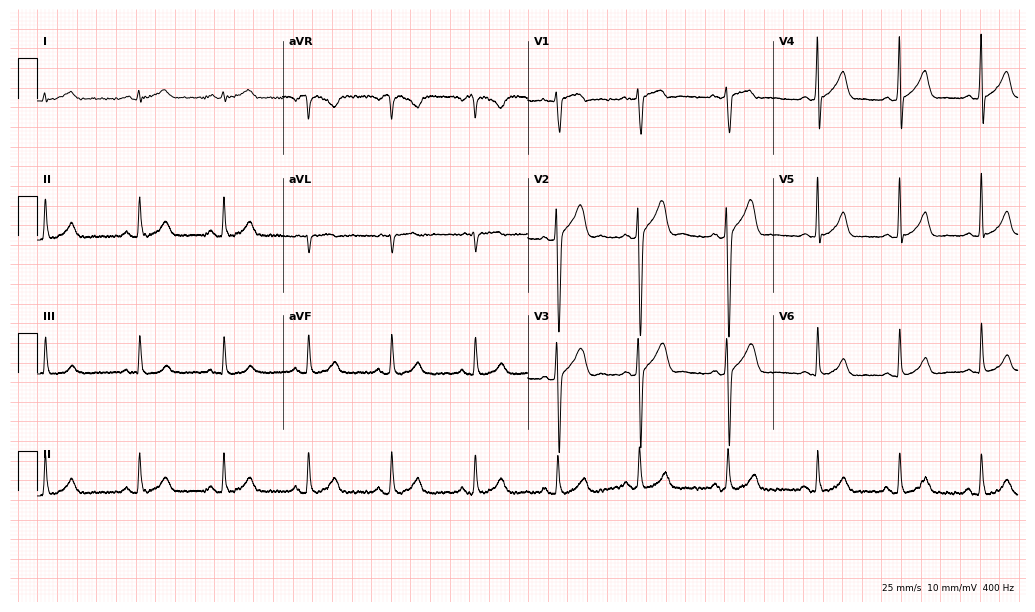
Electrocardiogram, a 23-year-old male patient. Overall reading on record: normal ECG.